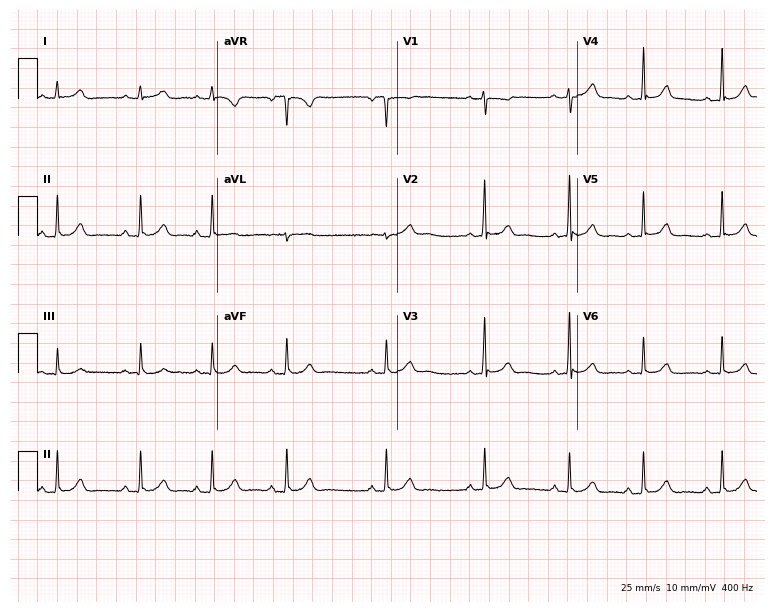
ECG (7.3-second recording at 400 Hz) — a female, 21 years old. Labelled as a normal ECG.